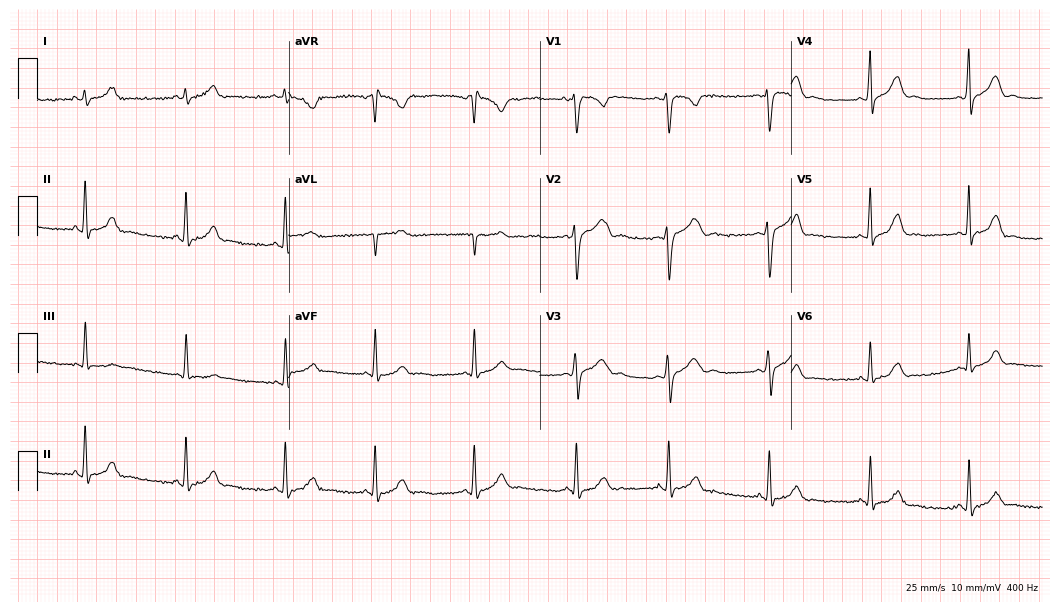
Electrocardiogram (10.2-second recording at 400 Hz), a female, 24 years old. Of the six screened findings (first-degree AV block, right bundle branch block (RBBB), left bundle branch block (LBBB), sinus bradycardia, atrial fibrillation (AF), sinus tachycardia), none is recorded. Other findings, if any, are not listed.